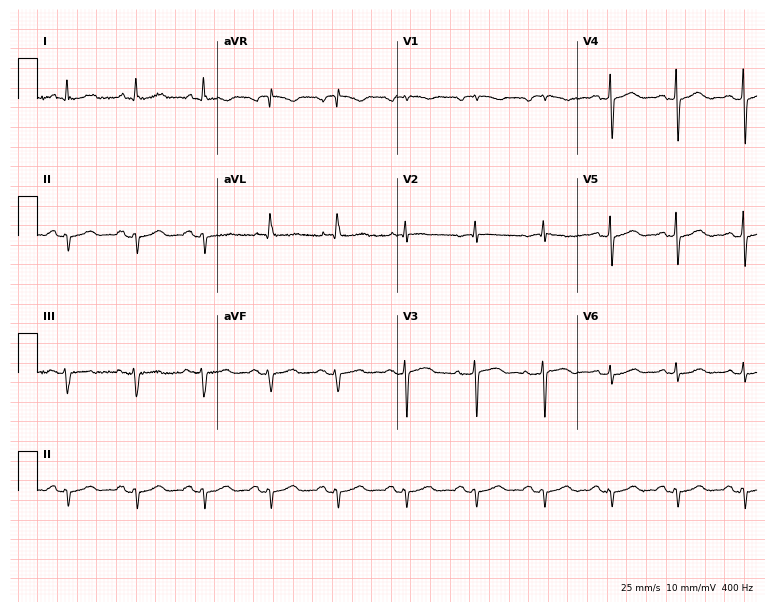
Resting 12-lead electrocardiogram. Patient: a female, 67 years old. None of these six findings is recorded: first-degree AV block, right bundle branch block, left bundle branch block, sinus bradycardia, atrial fibrillation, sinus tachycardia. Only these six findings were labelled.